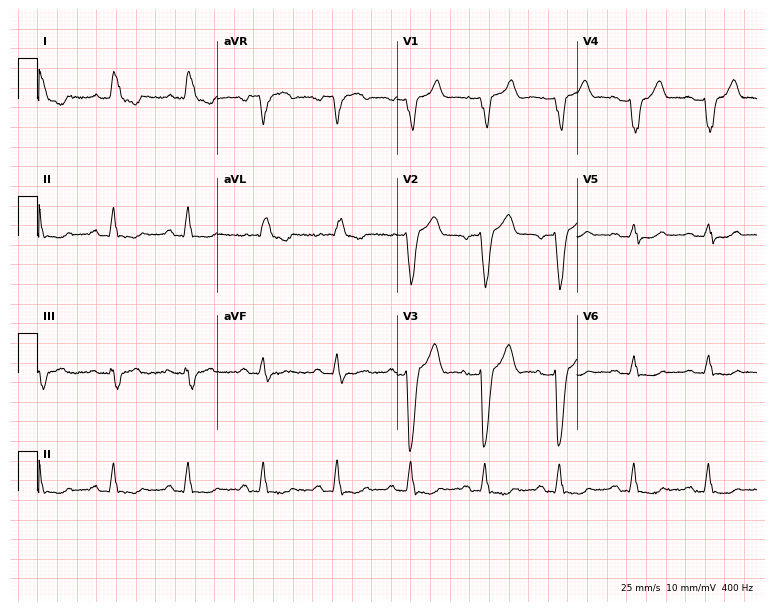
Resting 12-lead electrocardiogram (7.3-second recording at 400 Hz). Patient: a man, 65 years old. The tracing shows left bundle branch block.